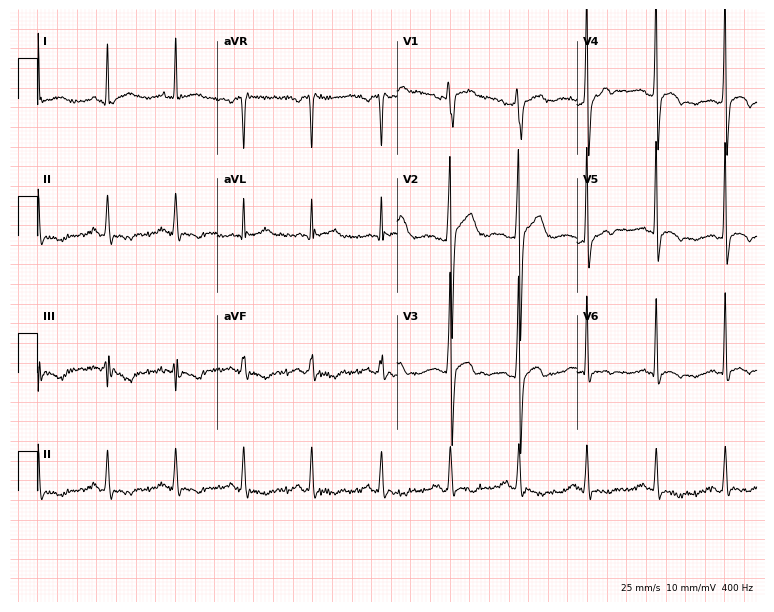
12-lead ECG from a 50-year-old man. Screened for six findings — first-degree AV block, right bundle branch block, left bundle branch block, sinus bradycardia, atrial fibrillation, sinus tachycardia — none is recorded. Only these six findings were labelled.